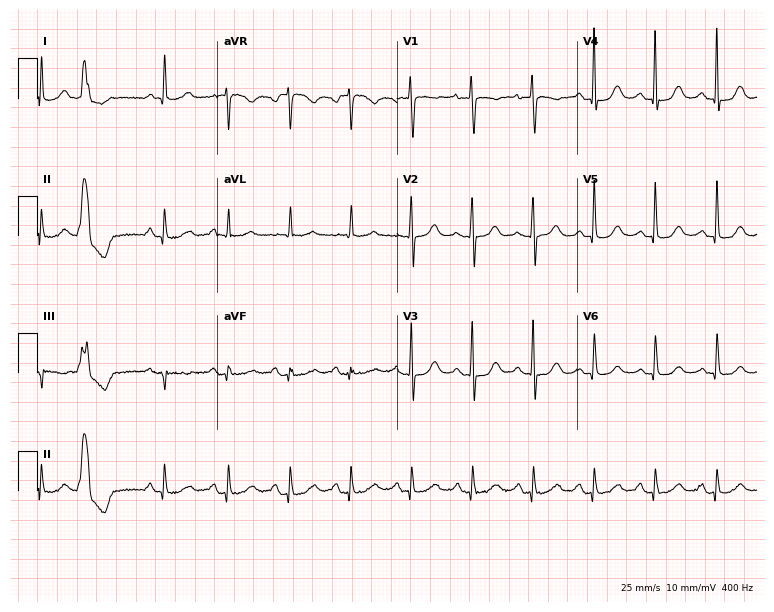
12-lead ECG from a 67-year-old female. Labelled as a normal ECG.